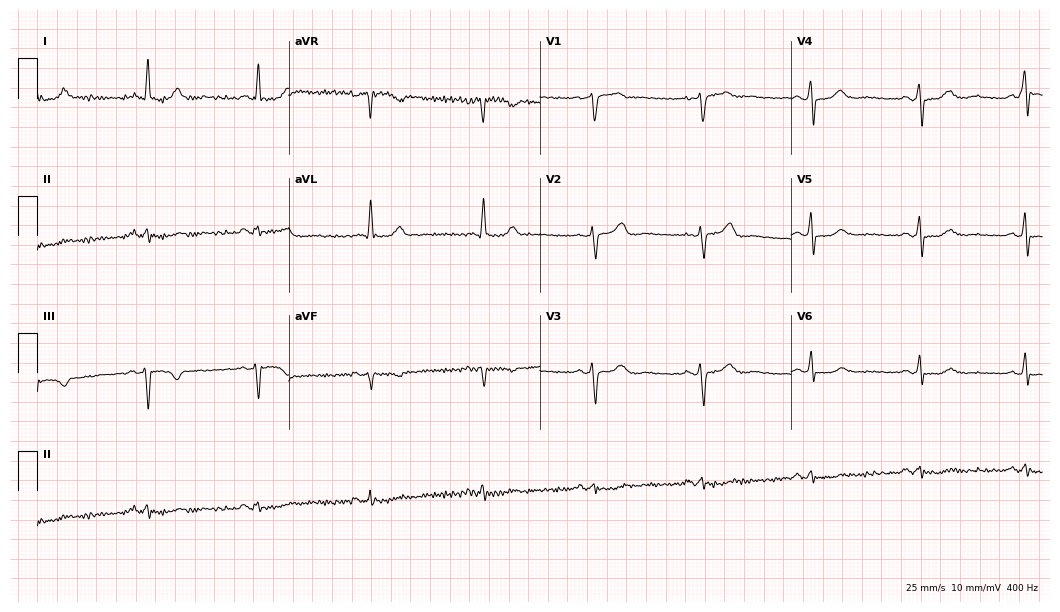
Electrocardiogram (10.2-second recording at 400 Hz), a female patient, 73 years old. Of the six screened findings (first-degree AV block, right bundle branch block (RBBB), left bundle branch block (LBBB), sinus bradycardia, atrial fibrillation (AF), sinus tachycardia), none is recorded.